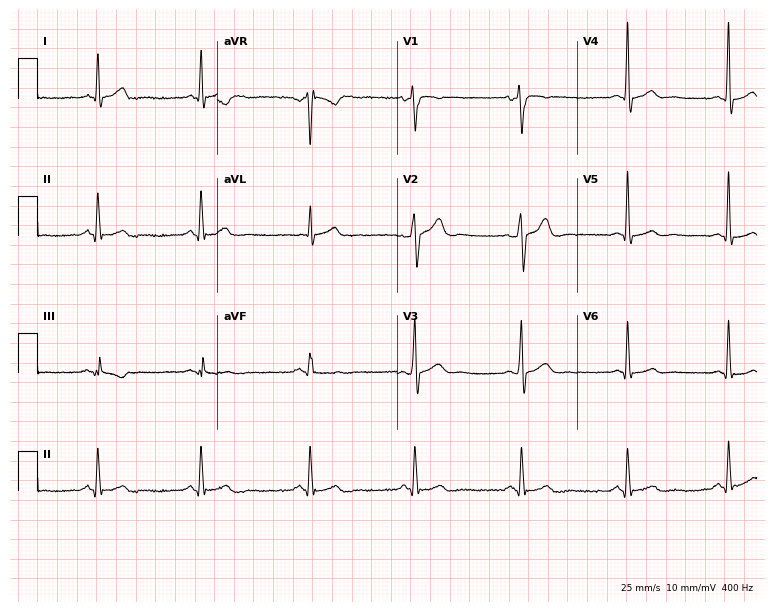
12-lead ECG (7.3-second recording at 400 Hz) from a male, 30 years old. Labelled as a normal ECG.